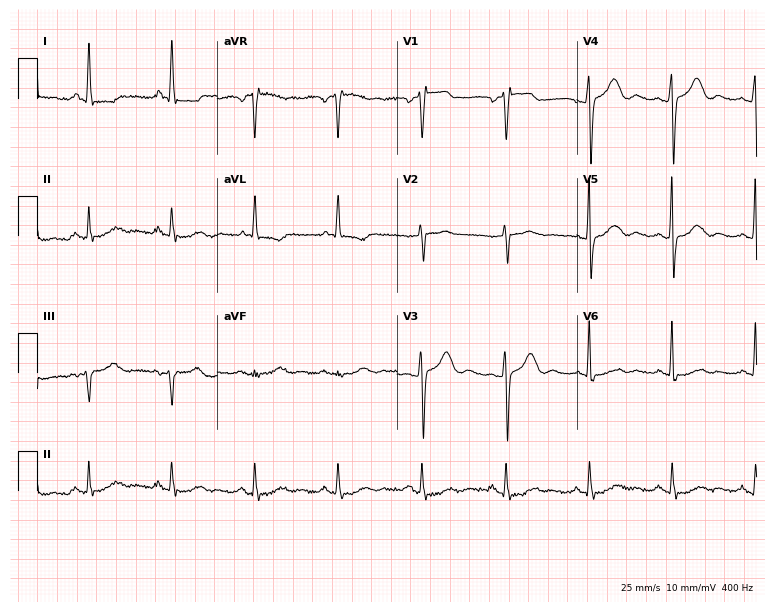
ECG — a 73-year-old man. Labelled as a normal ECG.